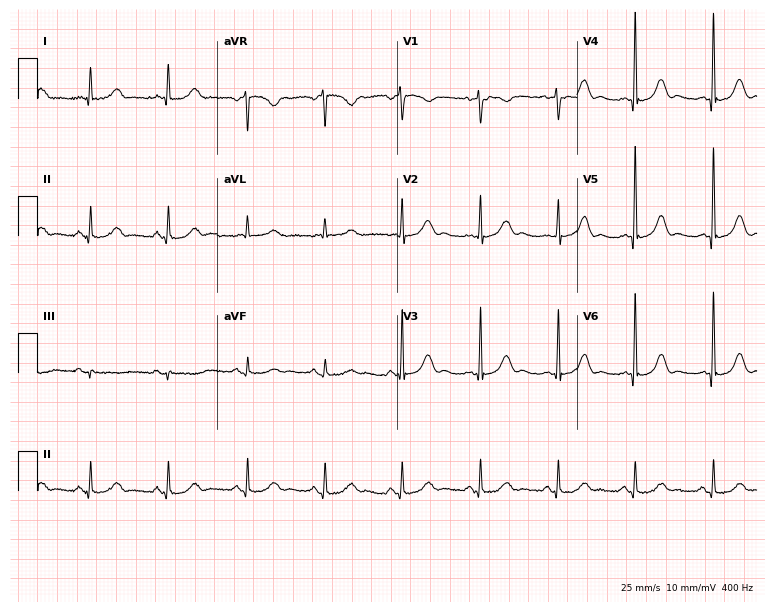
Standard 12-lead ECG recorded from a 79-year-old female. None of these six findings is recorded: first-degree AV block, right bundle branch block (RBBB), left bundle branch block (LBBB), sinus bradycardia, atrial fibrillation (AF), sinus tachycardia. Only these six findings were labelled.